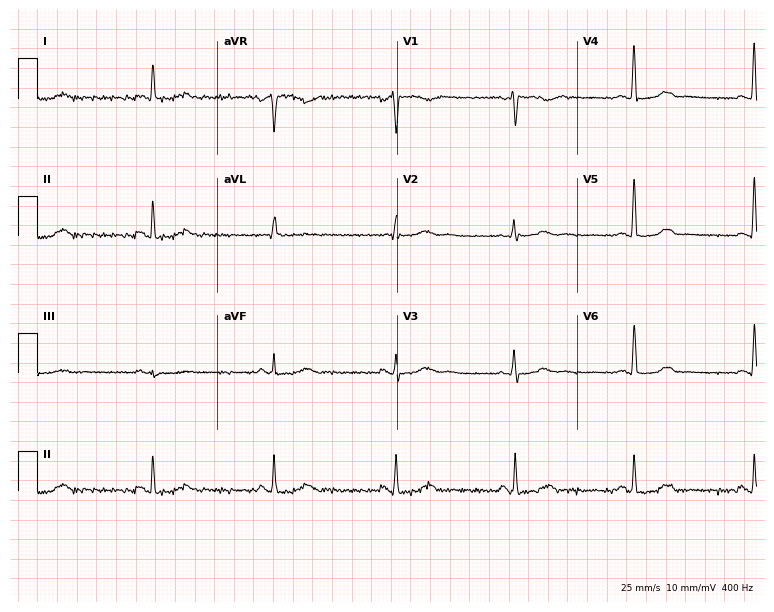
Resting 12-lead electrocardiogram (7.3-second recording at 400 Hz). Patient: a 66-year-old female. None of these six findings is recorded: first-degree AV block, right bundle branch block, left bundle branch block, sinus bradycardia, atrial fibrillation, sinus tachycardia. Findings outside these six are not listed.